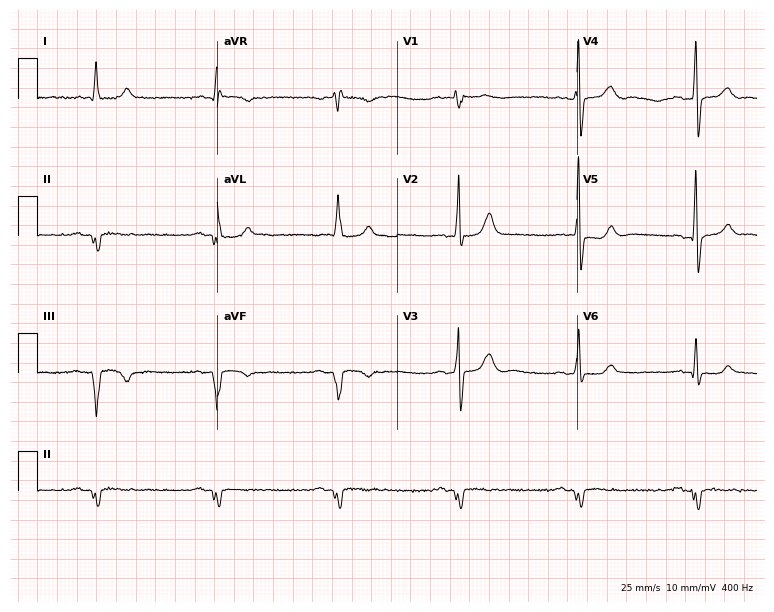
ECG (7.3-second recording at 400 Hz) — a 79-year-old man. Screened for six findings — first-degree AV block, right bundle branch block (RBBB), left bundle branch block (LBBB), sinus bradycardia, atrial fibrillation (AF), sinus tachycardia — none is recorded. Only these six findings were labelled.